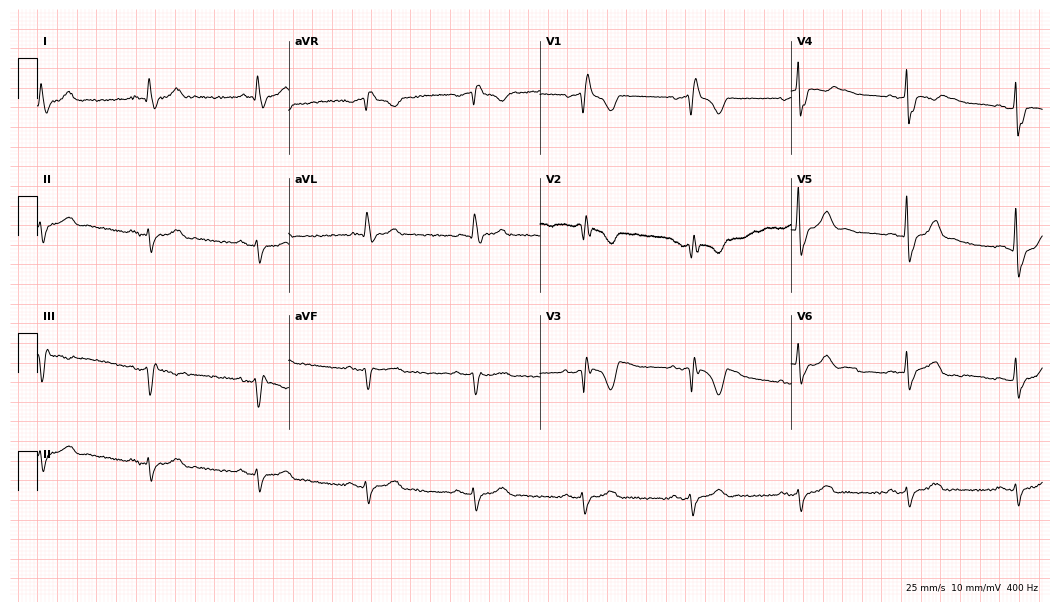
12-lead ECG from a 74-year-old man. Findings include right bundle branch block.